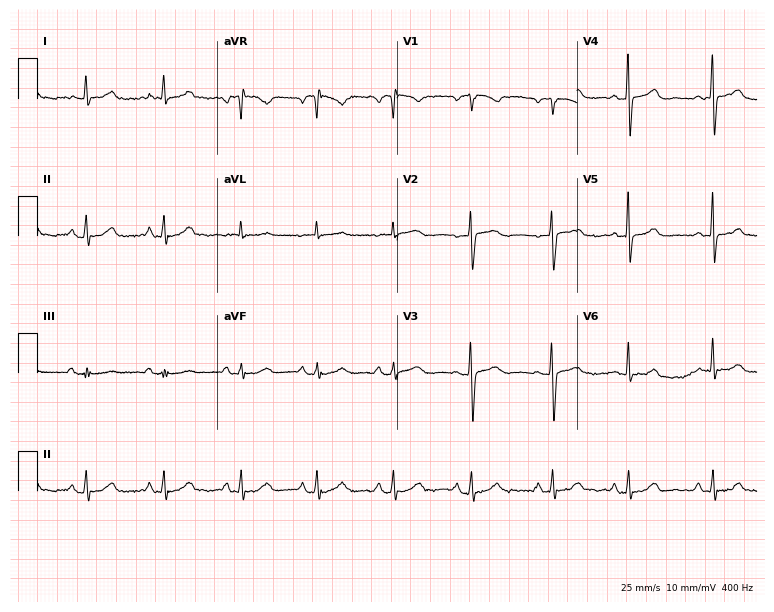
Electrocardiogram, a woman, 52 years old. Of the six screened findings (first-degree AV block, right bundle branch block, left bundle branch block, sinus bradycardia, atrial fibrillation, sinus tachycardia), none is recorded. Only these six findings were labelled.